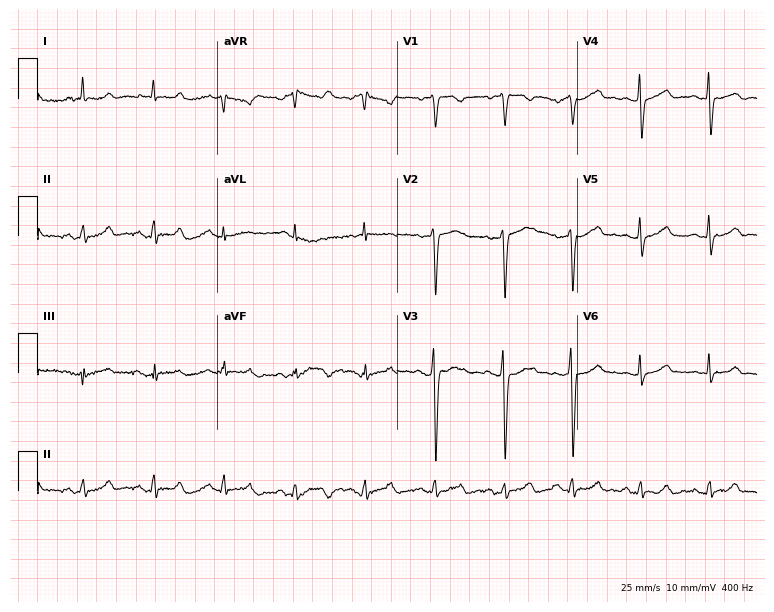
Resting 12-lead electrocardiogram. Patient: a 42-year-old woman. Read as a normal ECG.